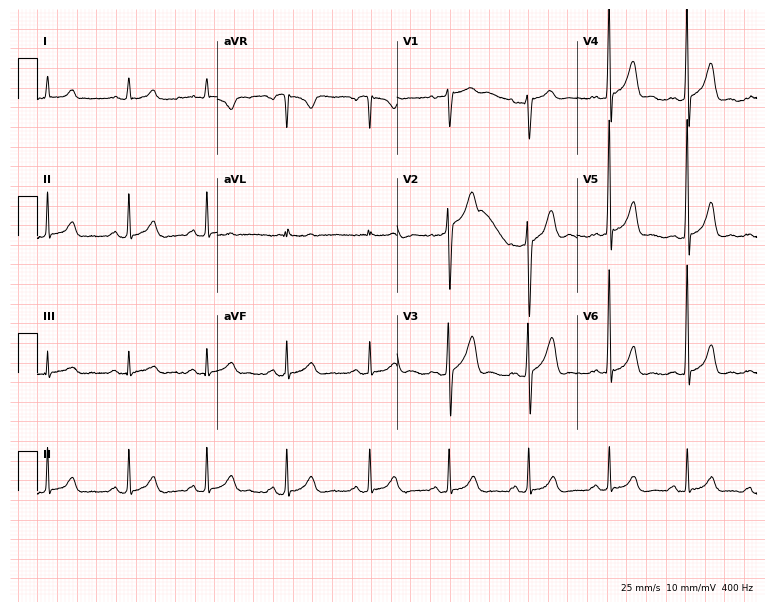
12-lead ECG (7.3-second recording at 400 Hz) from a man, 36 years old. Screened for six findings — first-degree AV block, right bundle branch block, left bundle branch block, sinus bradycardia, atrial fibrillation, sinus tachycardia — none is recorded. Other findings, if any, are not listed.